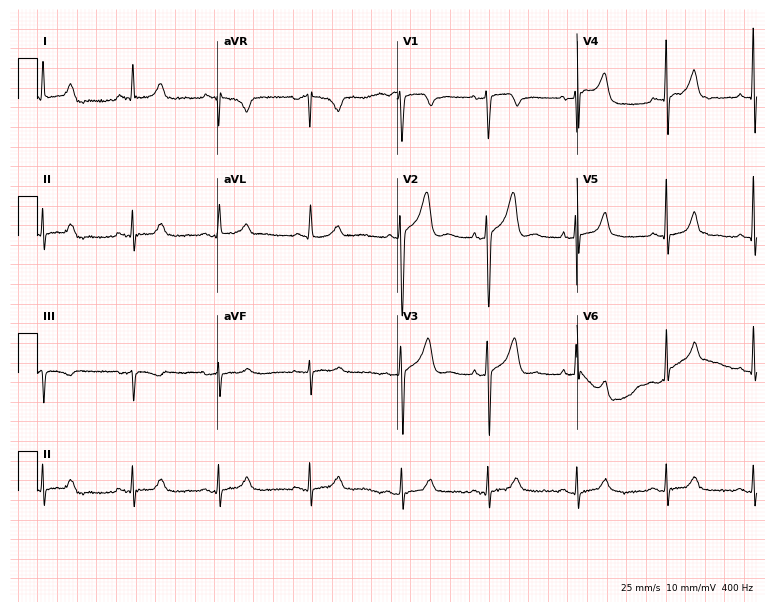
12-lead ECG from a female, 47 years old. Recorded interpretation: within normal limits.